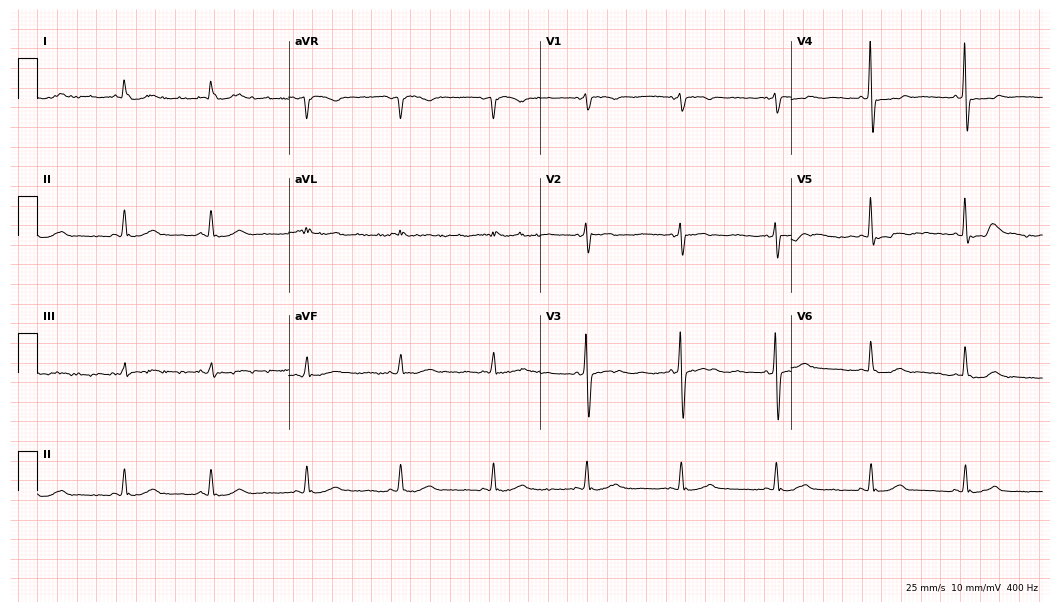
ECG (10.2-second recording at 400 Hz) — a female, 76 years old. Screened for six findings — first-degree AV block, right bundle branch block (RBBB), left bundle branch block (LBBB), sinus bradycardia, atrial fibrillation (AF), sinus tachycardia — none is recorded. Other findings, if any, are not listed.